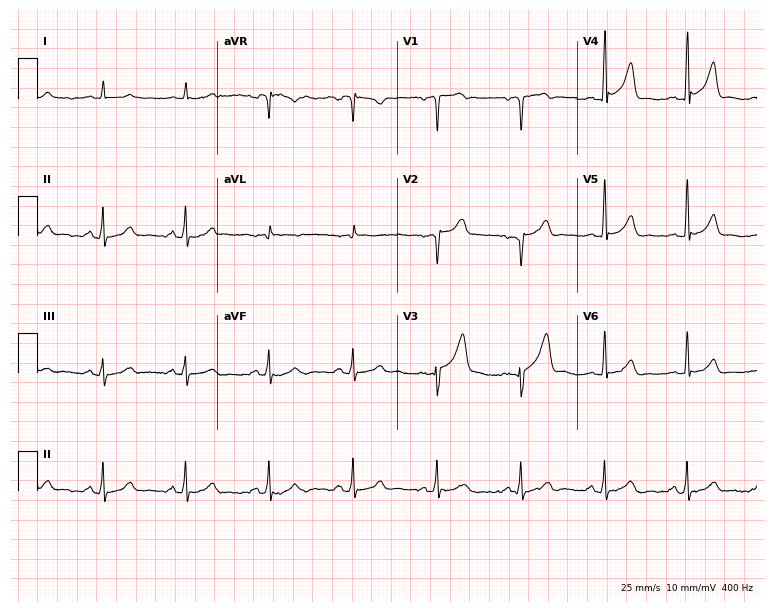
Resting 12-lead electrocardiogram. Patient: a man, 57 years old. None of these six findings is recorded: first-degree AV block, right bundle branch block (RBBB), left bundle branch block (LBBB), sinus bradycardia, atrial fibrillation (AF), sinus tachycardia.